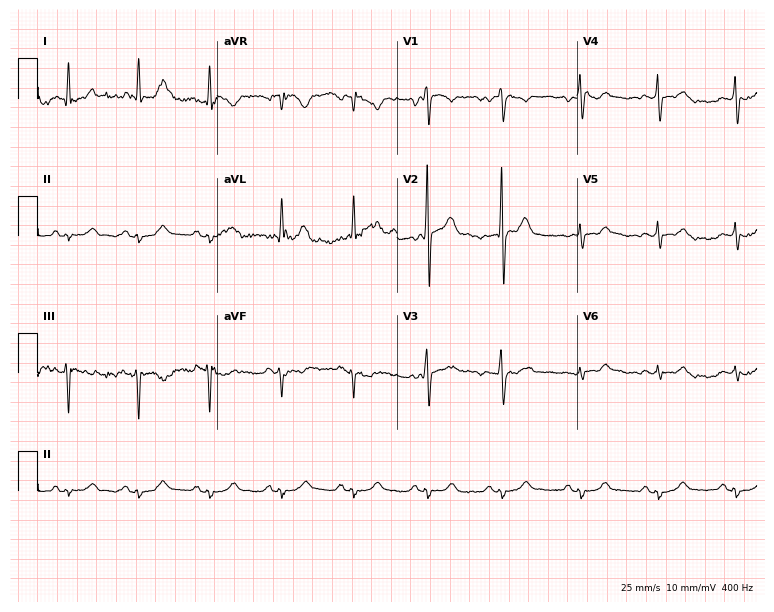
12-lead ECG (7.3-second recording at 400 Hz) from a 63-year-old male. Screened for six findings — first-degree AV block, right bundle branch block (RBBB), left bundle branch block (LBBB), sinus bradycardia, atrial fibrillation (AF), sinus tachycardia — none is recorded.